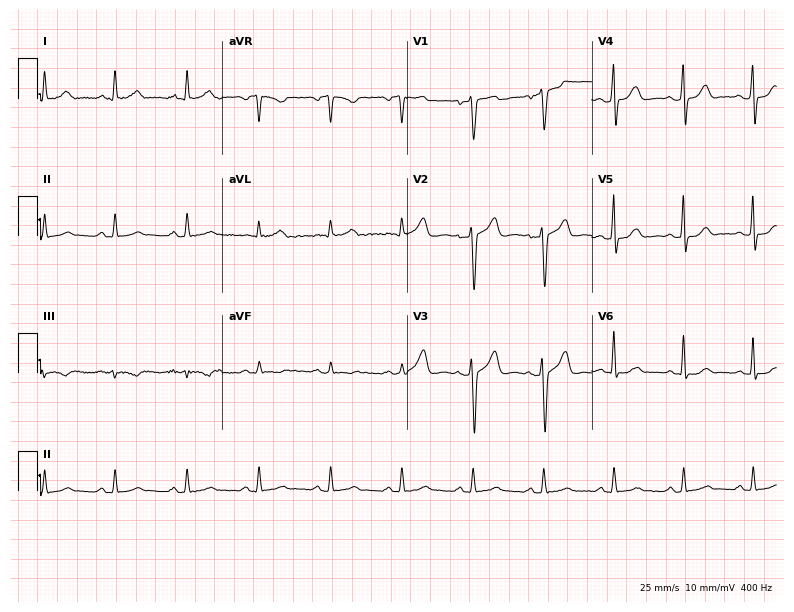
ECG (7.5-second recording at 400 Hz) — a male, 50 years old. Labelled as a normal ECG.